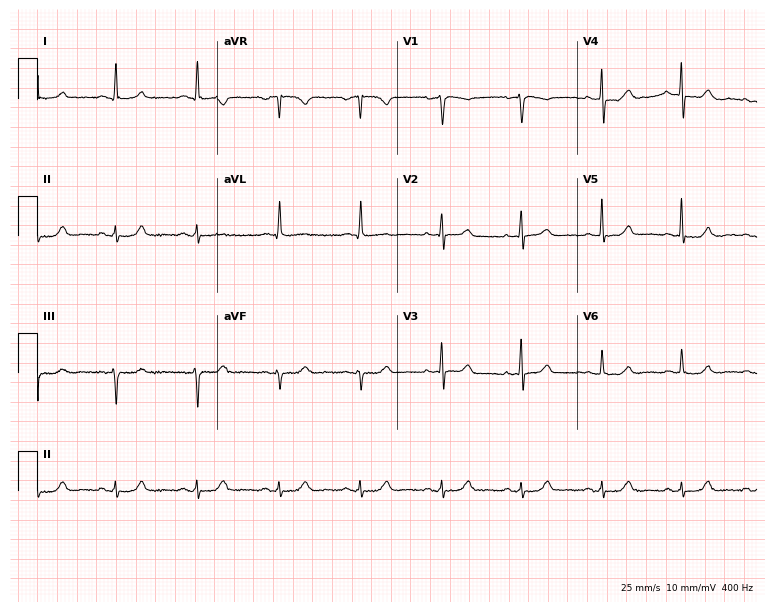
12-lead ECG from a woman, 73 years old (7.3-second recording at 400 Hz). No first-degree AV block, right bundle branch block, left bundle branch block, sinus bradycardia, atrial fibrillation or sinus tachycardia recorded for this tracing.